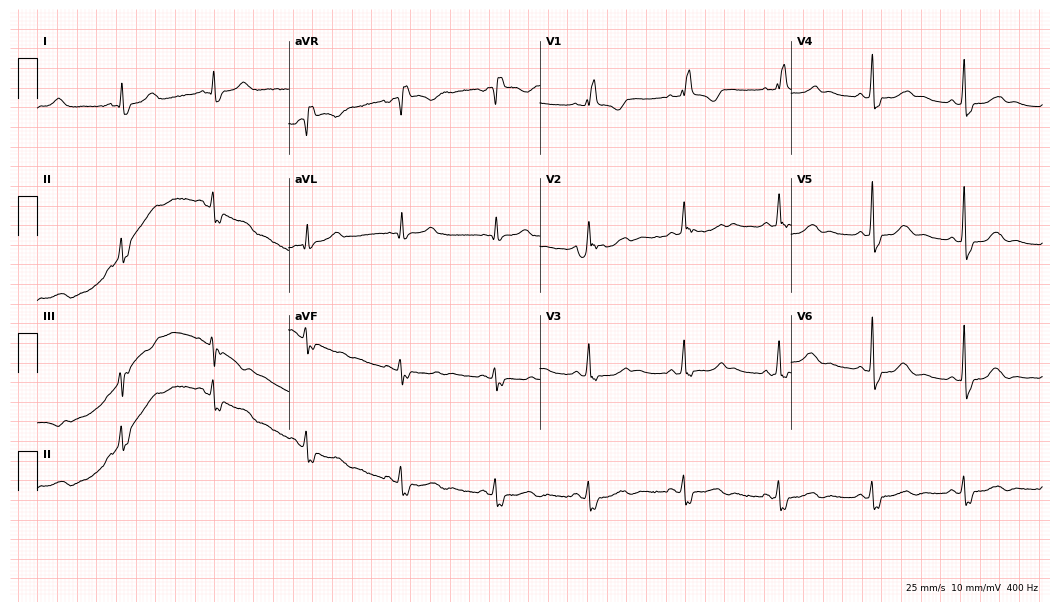
Standard 12-lead ECG recorded from a female, 49 years old. The tracing shows right bundle branch block.